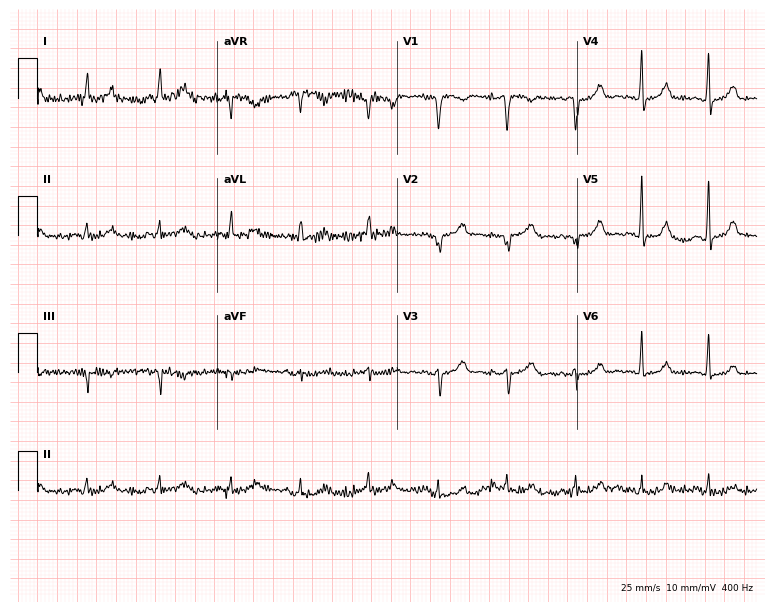
Resting 12-lead electrocardiogram (7.3-second recording at 400 Hz). Patient: a female, 42 years old. None of these six findings is recorded: first-degree AV block, right bundle branch block, left bundle branch block, sinus bradycardia, atrial fibrillation, sinus tachycardia.